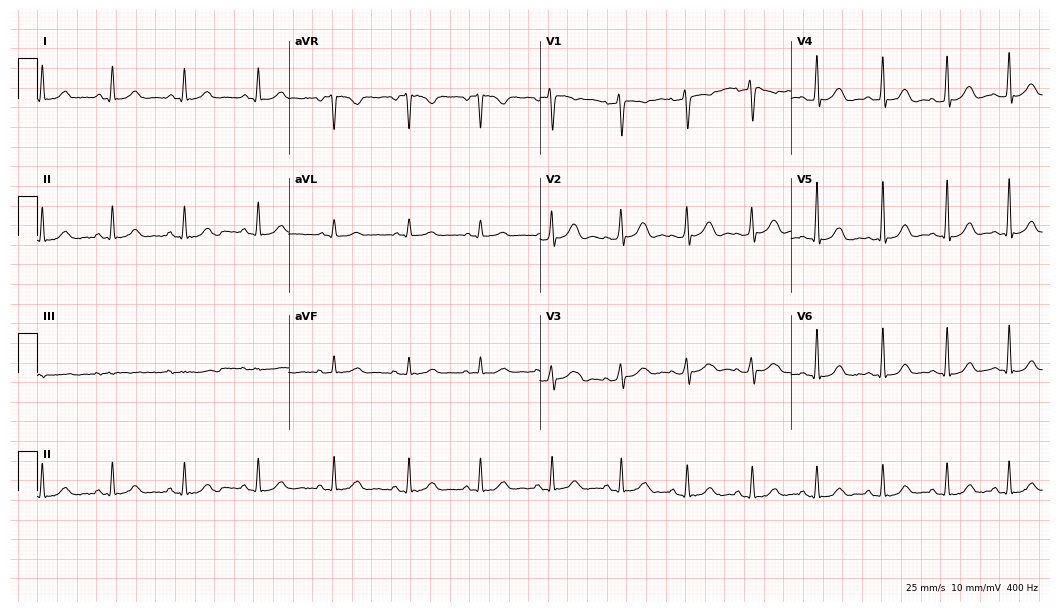
12-lead ECG from a female patient, 36 years old (10.2-second recording at 400 Hz). Recorded interpretation: within normal limits.